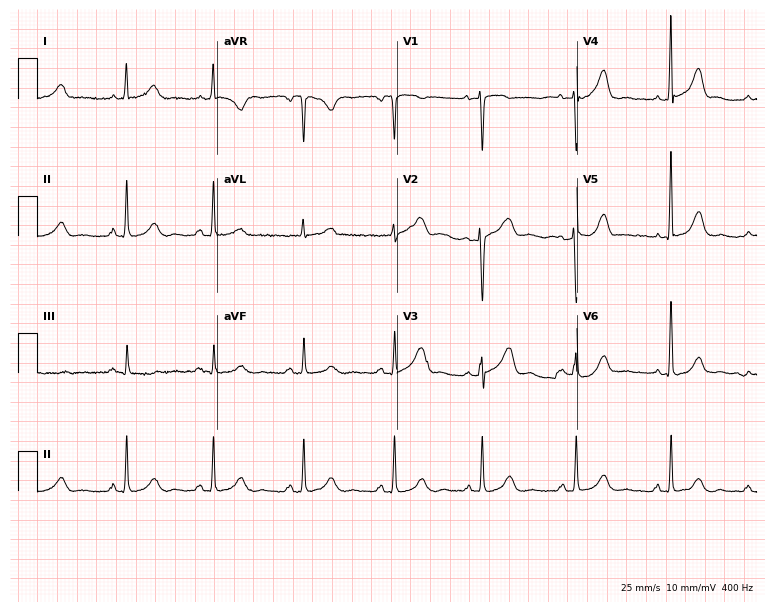
Electrocardiogram (7.3-second recording at 400 Hz), a 41-year-old female. Of the six screened findings (first-degree AV block, right bundle branch block (RBBB), left bundle branch block (LBBB), sinus bradycardia, atrial fibrillation (AF), sinus tachycardia), none is recorded.